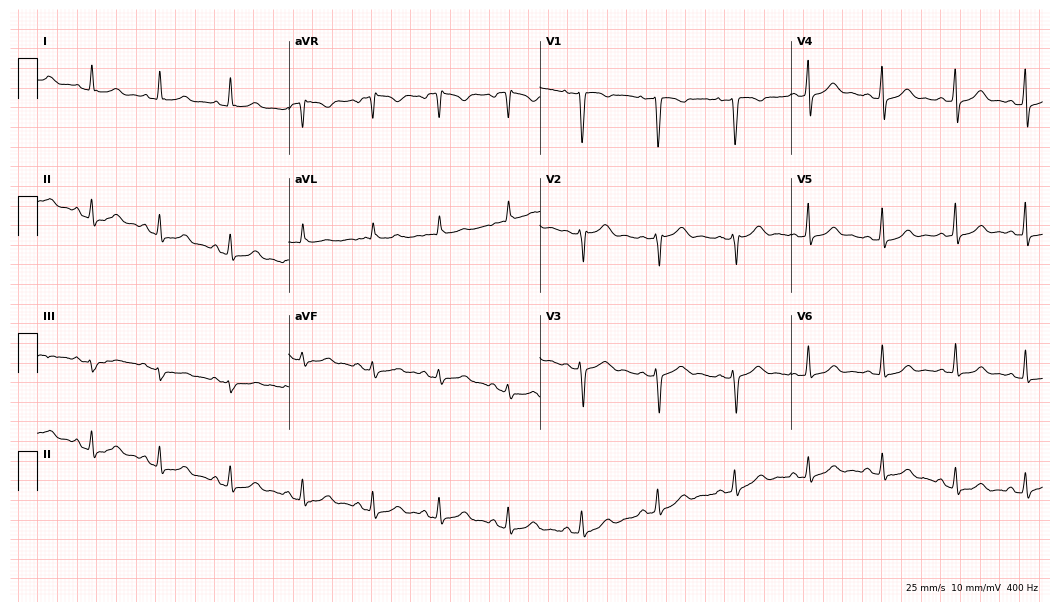
12-lead ECG from a 29-year-old woman (10.2-second recording at 400 Hz). No first-degree AV block, right bundle branch block (RBBB), left bundle branch block (LBBB), sinus bradycardia, atrial fibrillation (AF) or sinus tachycardia recorded for this tracing.